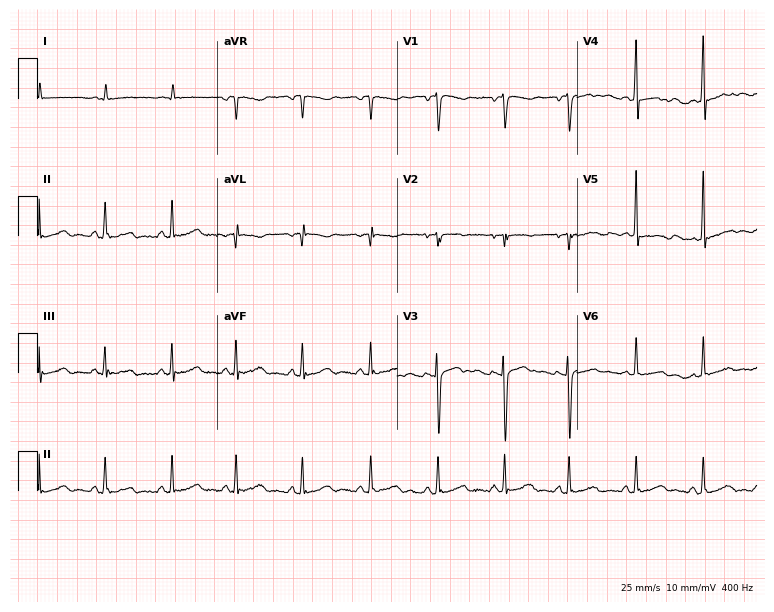
ECG — a 45-year-old woman. Screened for six findings — first-degree AV block, right bundle branch block (RBBB), left bundle branch block (LBBB), sinus bradycardia, atrial fibrillation (AF), sinus tachycardia — none is recorded. Only these six findings were labelled.